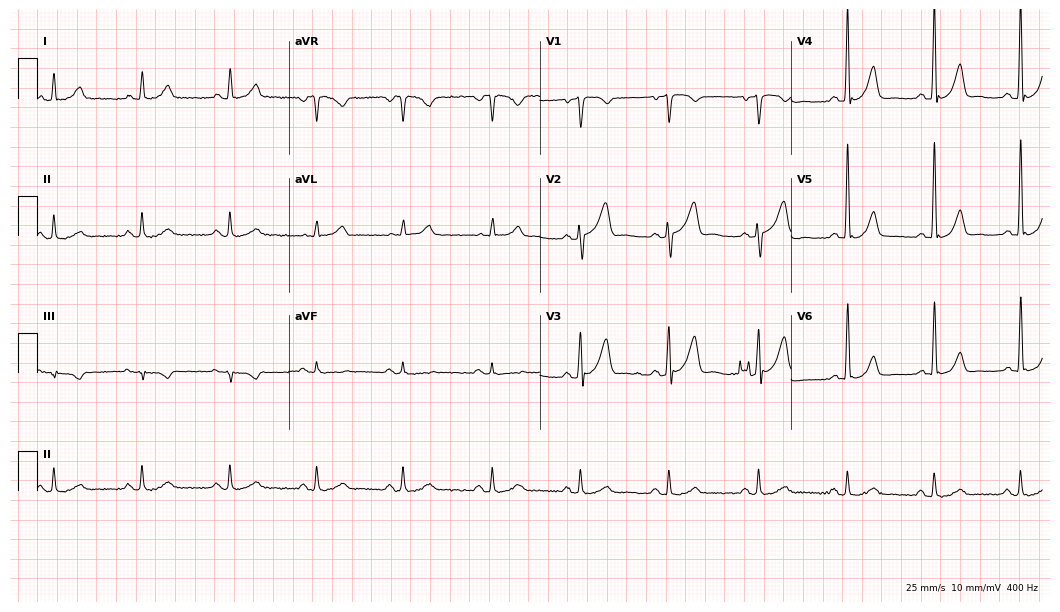
Standard 12-lead ECG recorded from a male, 60 years old. None of these six findings is recorded: first-degree AV block, right bundle branch block, left bundle branch block, sinus bradycardia, atrial fibrillation, sinus tachycardia.